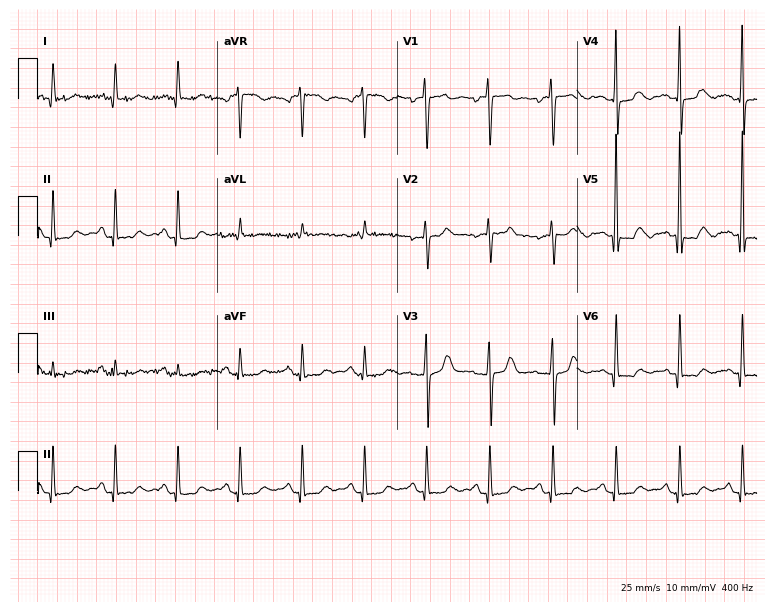
12-lead ECG from a 49-year-old female patient. Screened for six findings — first-degree AV block, right bundle branch block, left bundle branch block, sinus bradycardia, atrial fibrillation, sinus tachycardia — none is recorded.